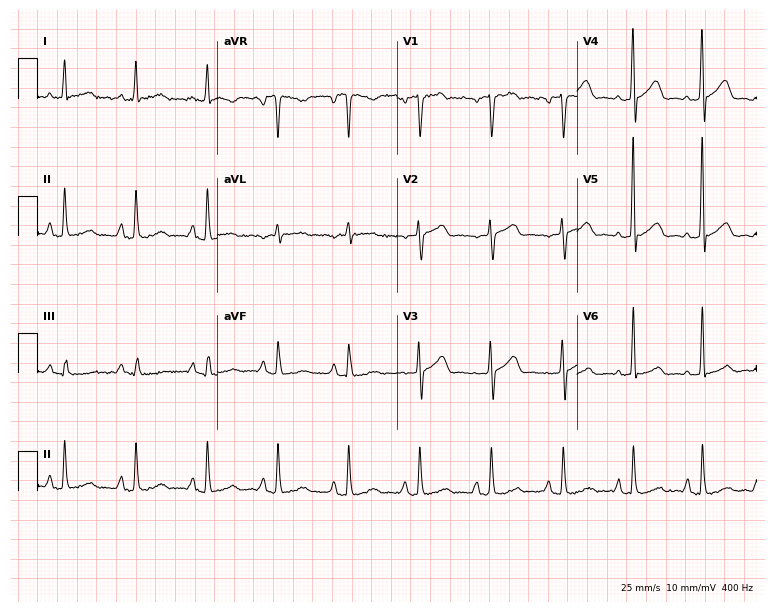
12-lead ECG (7.3-second recording at 400 Hz) from a male patient, 61 years old. Screened for six findings — first-degree AV block, right bundle branch block (RBBB), left bundle branch block (LBBB), sinus bradycardia, atrial fibrillation (AF), sinus tachycardia — none is recorded.